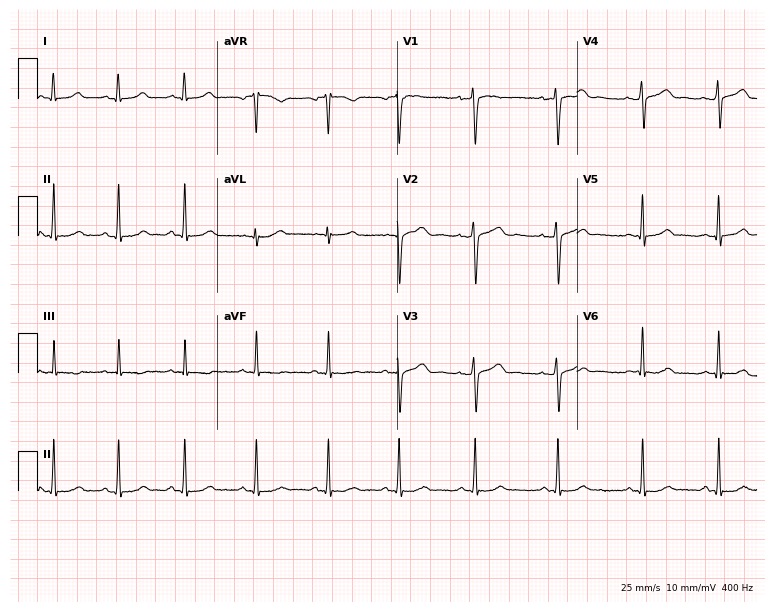
Electrocardiogram, a 23-year-old woman. Of the six screened findings (first-degree AV block, right bundle branch block, left bundle branch block, sinus bradycardia, atrial fibrillation, sinus tachycardia), none is recorded. Only these six findings were labelled.